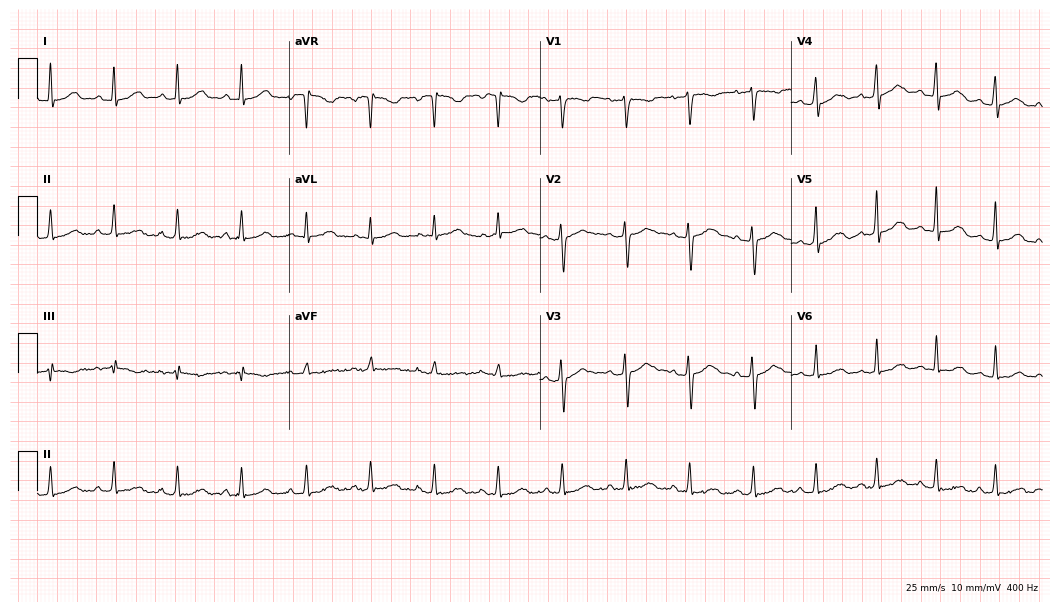
ECG — a female patient, 20 years old. Screened for six findings — first-degree AV block, right bundle branch block, left bundle branch block, sinus bradycardia, atrial fibrillation, sinus tachycardia — none is recorded.